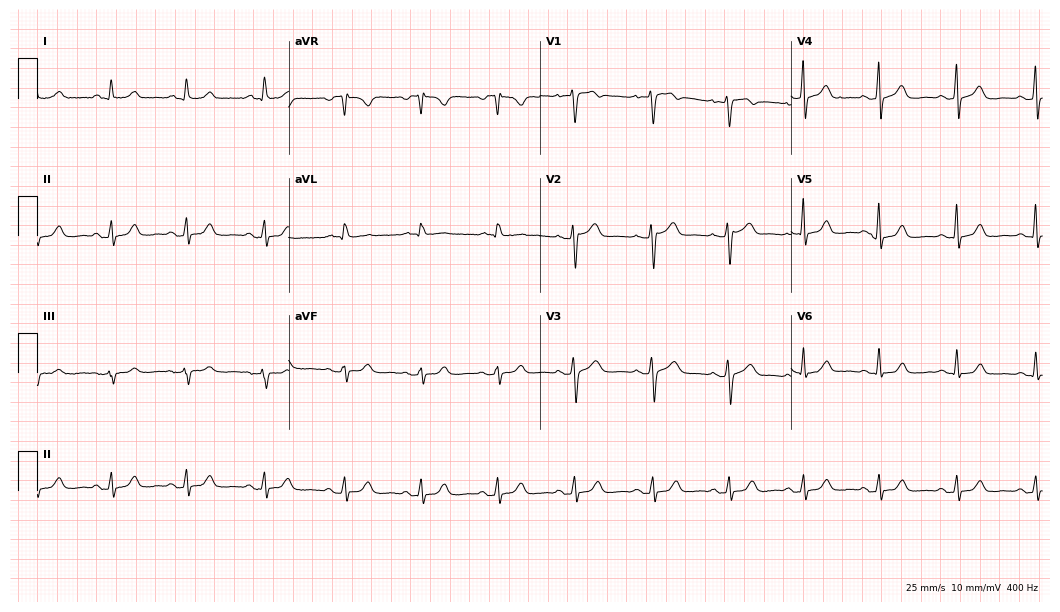
12-lead ECG (10.2-second recording at 400 Hz) from a 51-year-old woman. Labelled as a normal ECG.